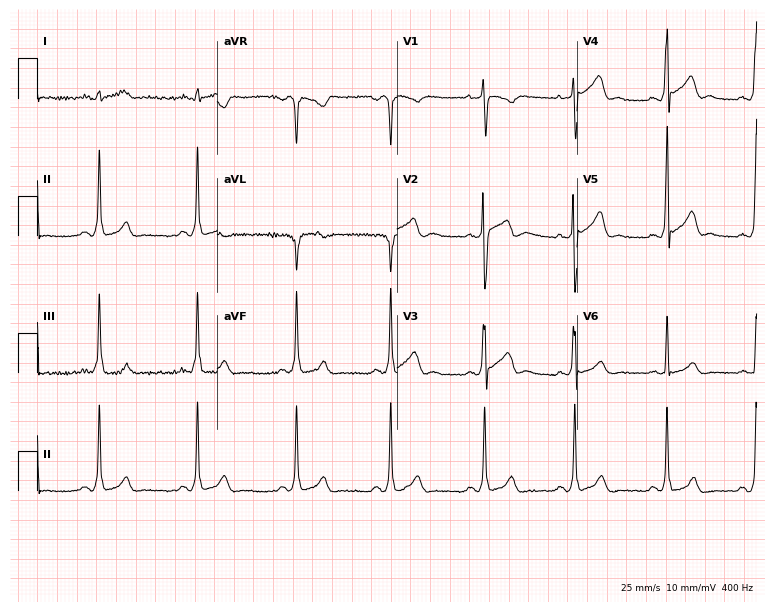
Resting 12-lead electrocardiogram (7.3-second recording at 400 Hz). Patient: a 24-year-old male. None of these six findings is recorded: first-degree AV block, right bundle branch block, left bundle branch block, sinus bradycardia, atrial fibrillation, sinus tachycardia. Findings outside these six are not listed.